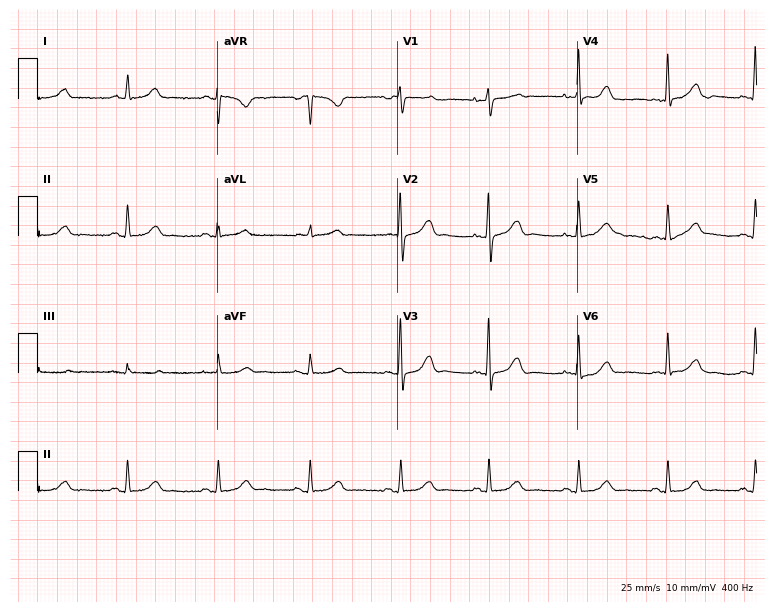
Resting 12-lead electrocardiogram. Patient: a female, 43 years old. Read as a normal ECG.